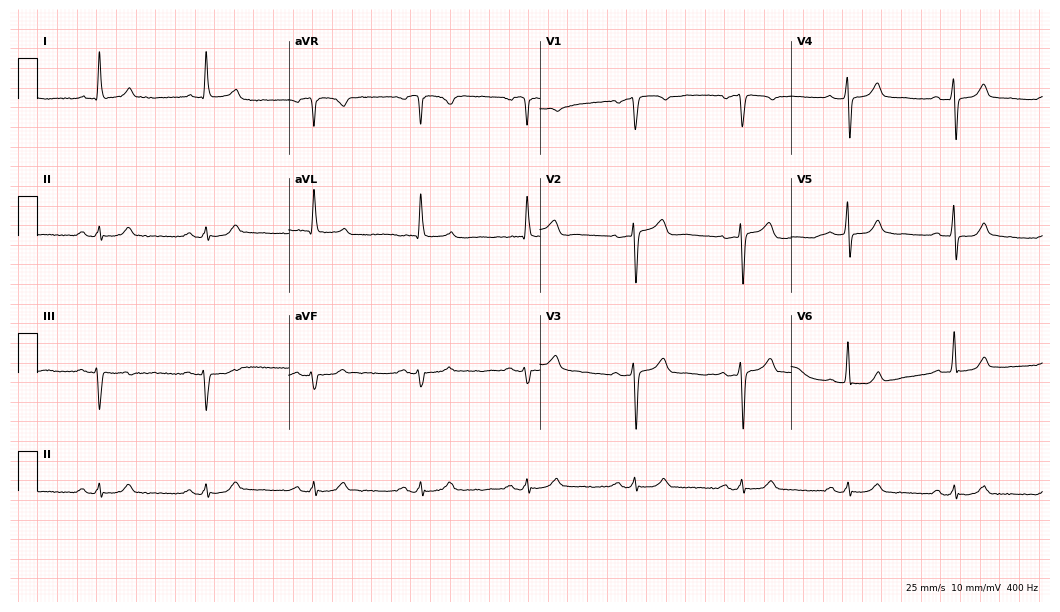
Standard 12-lead ECG recorded from a male, 78 years old (10.2-second recording at 400 Hz). Read as a normal ECG.